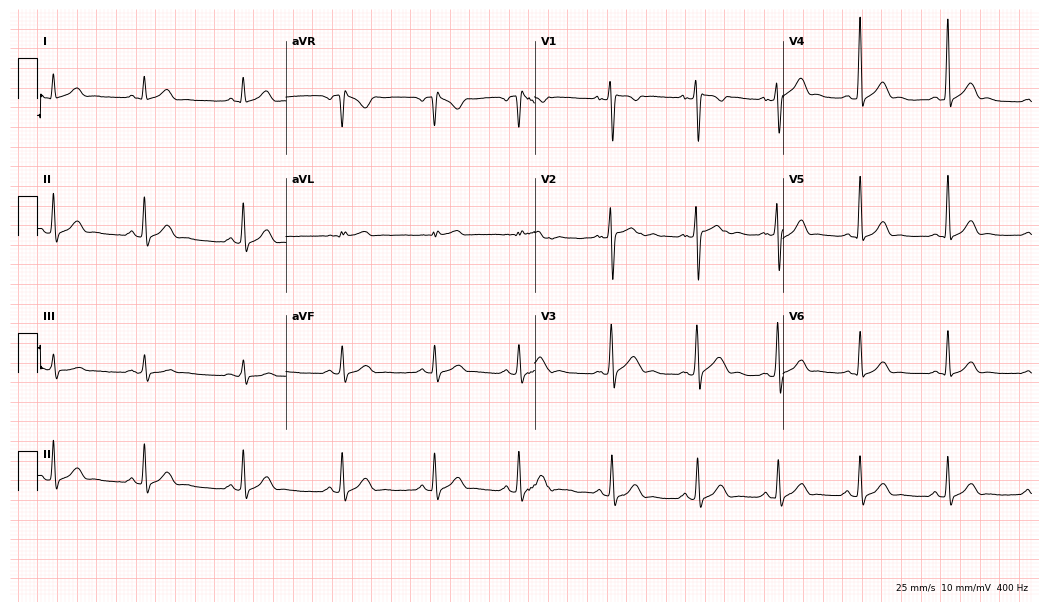
12-lead ECG from a 27-year-old man (10.1-second recording at 400 Hz). No first-degree AV block, right bundle branch block, left bundle branch block, sinus bradycardia, atrial fibrillation or sinus tachycardia recorded for this tracing.